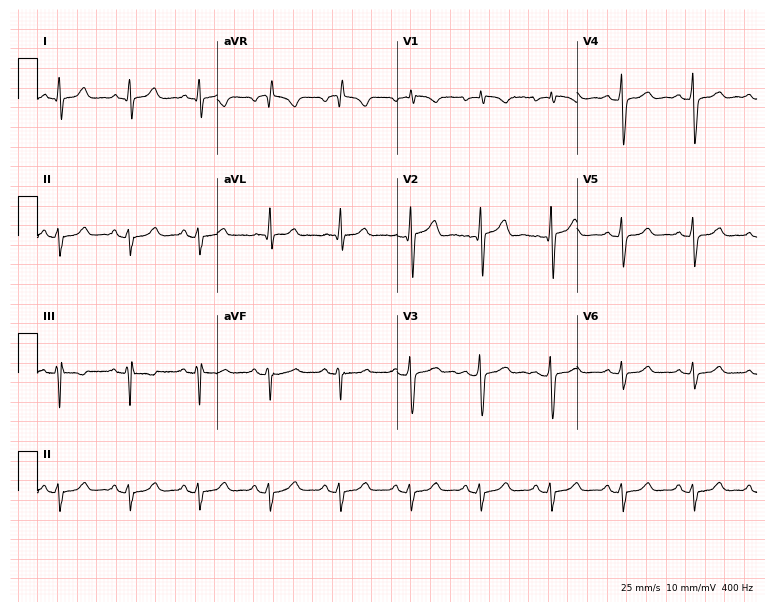
Electrocardiogram (7.3-second recording at 400 Hz), a man, 68 years old. Of the six screened findings (first-degree AV block, right bundle branch block, left bundle branch block, sinus bradycardia, atrial fibrillation, sinus tachycardia), none is recorded. Only these six findings were labelled.